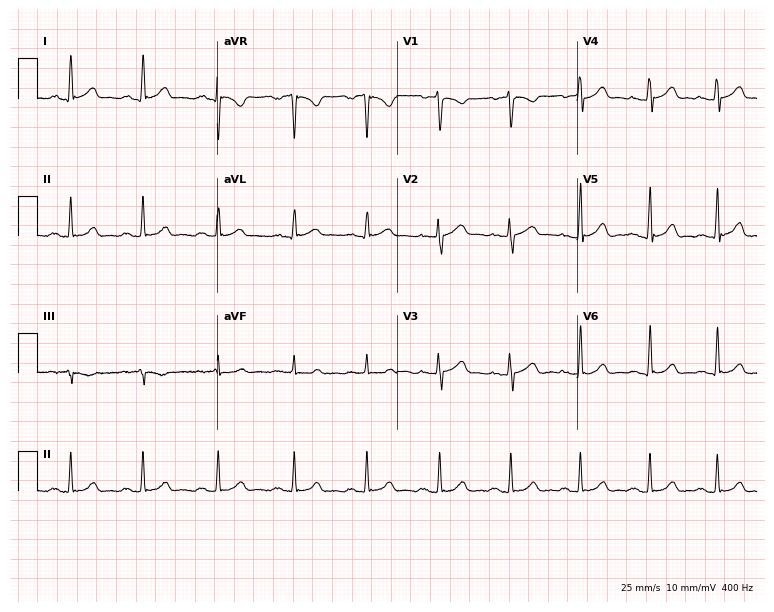
Resting 12-lead electrocardiogram. Patient: a 37-year-old female. Read as a normal ECG.